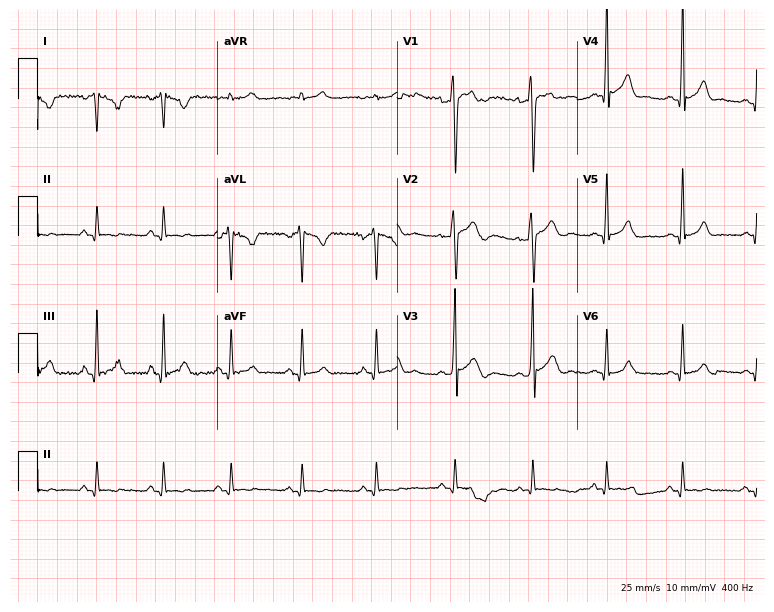
Electrocardiogram (7.3-second recording at 400 Hz), a man, 22 years old. Of the six screened findings (first-degree AV block, right bundle branch block, left bundle branch block, sinus bradycardia, atrial fibrillation, sinus tachycardia), none is recorded.